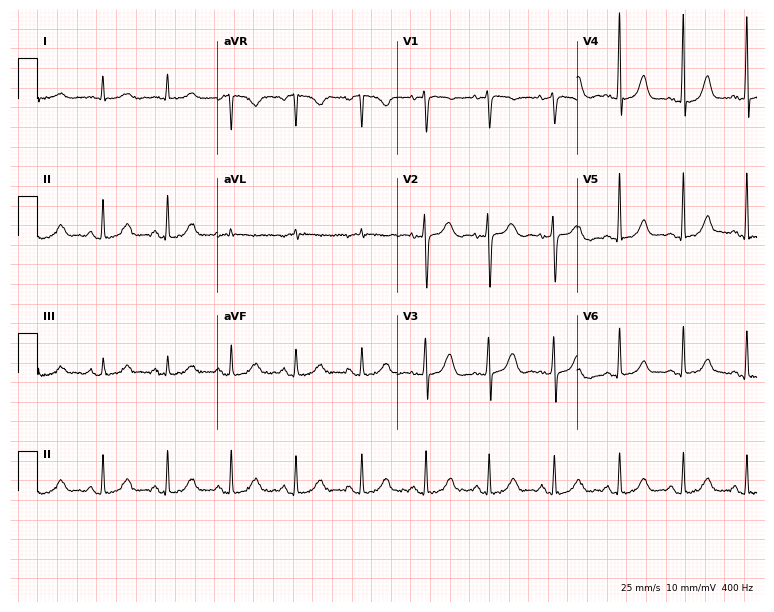
Standard 12-lead ECG recorded from an 84-year-old woman. Read as a normal ECG.